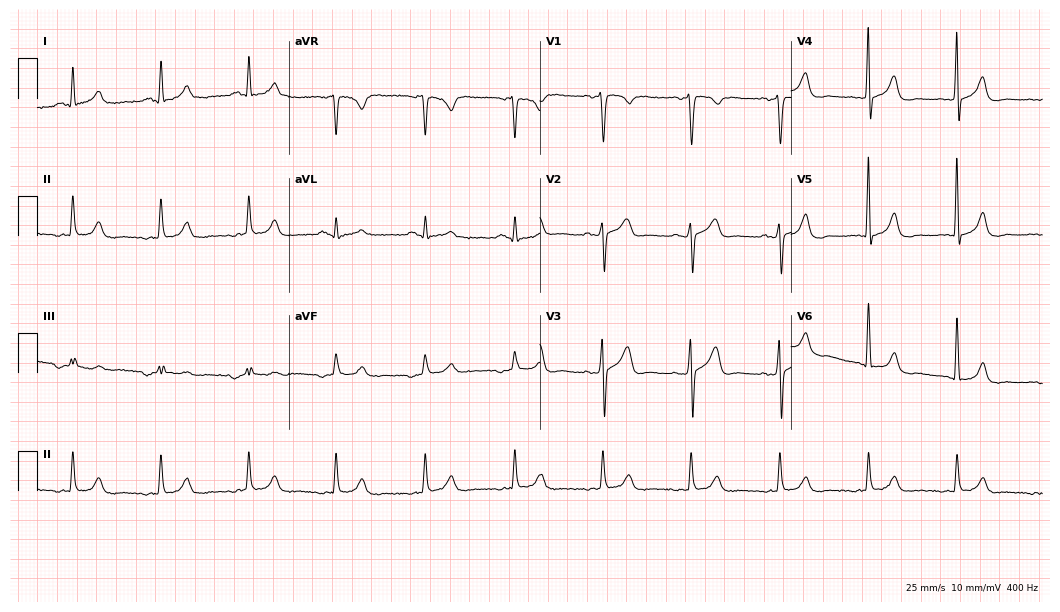
Electrocardiogram, a man, 67 years old. Of the six screened findings (first-degree AV block, right bundle branch block, left bundle branch block, sinus bradycardia, atrial fibrillation, sinus tachycardia), none is recorded.